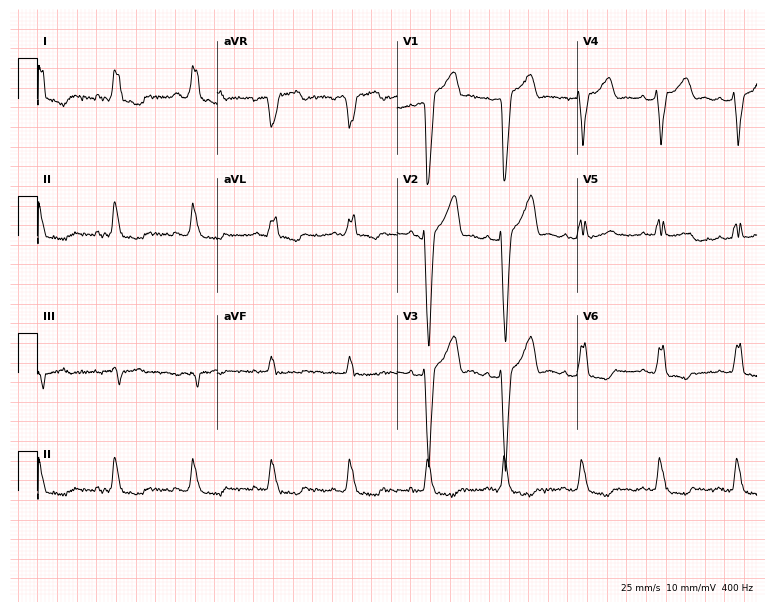
Resting 12-lead electrocardiogram. Patient: an 81-year-old male. The tracing shows left bundle branch block.